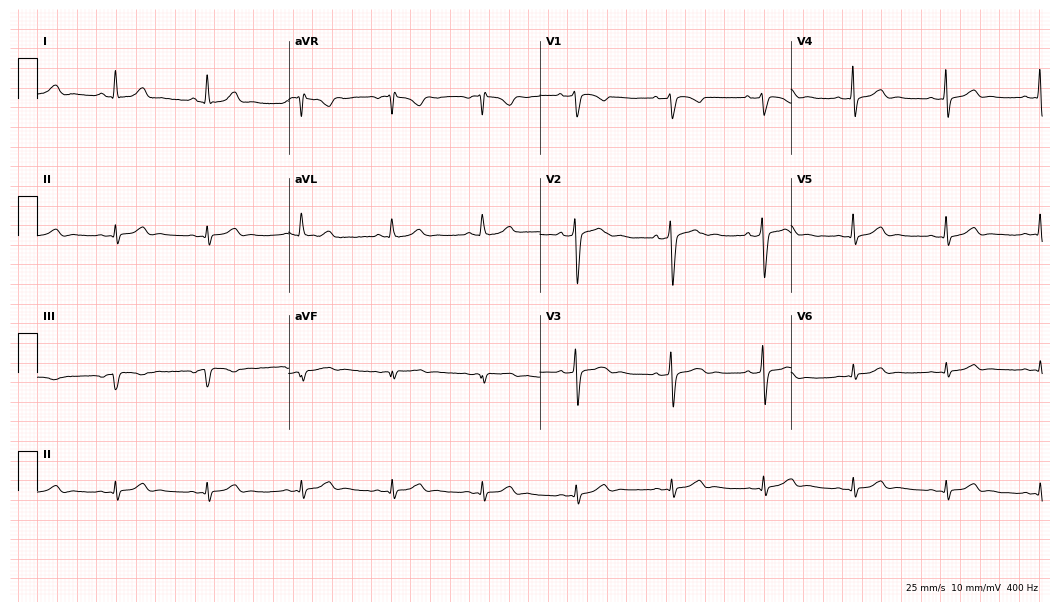
12-lead ECG from a 39-year-old male. Labelled as a normal ECG.